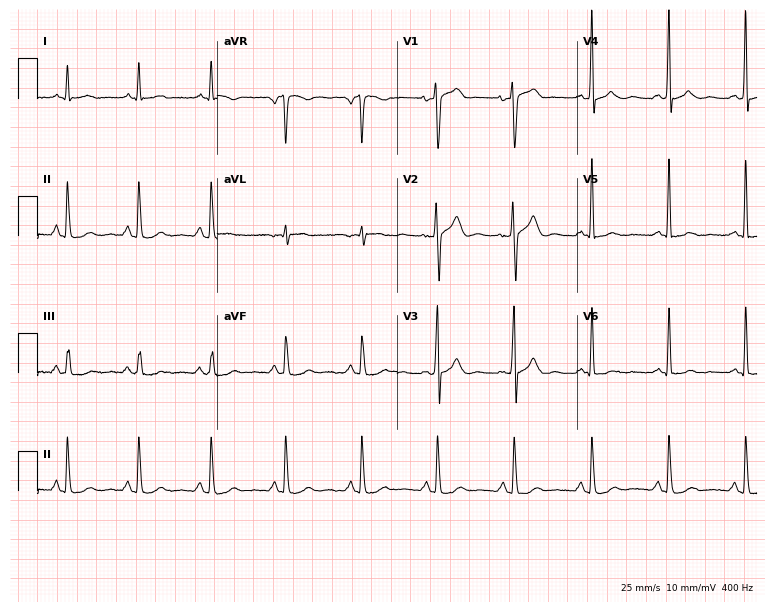
12-lead ECG from a male patient, 45 years old. Screened for six findings — first-degree AV block, right bundle branch block, left bundle branch block, sinus bradycardia, atrial fibrillation, sinus tachycardia — none is recorded.